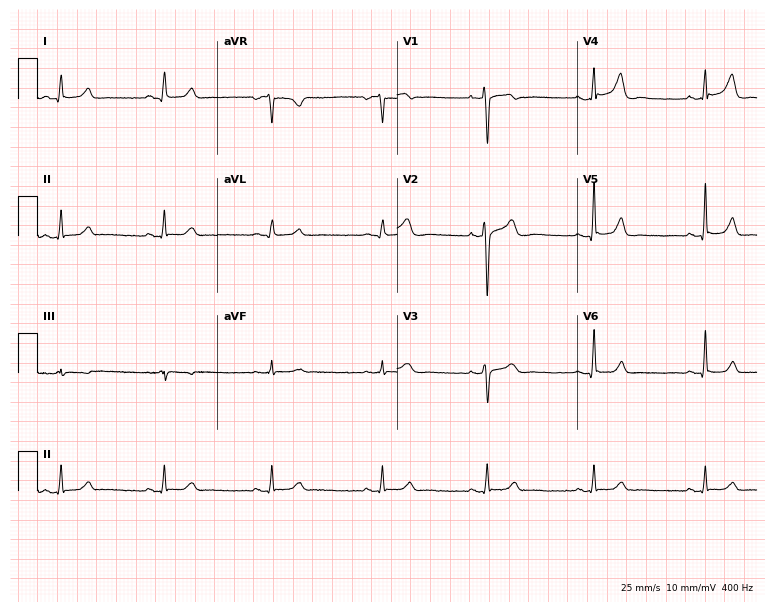
Electrocardiogram, a female, 38 years old. Of the six screened findings (first-degree AV block, right bundle branch block (RBBB), left bundle branch block (LBBB), sinus bradycardia, atrial fibrillation (AF), sinus tachycardia), none is recorded. Other findings, if any, are not listed.